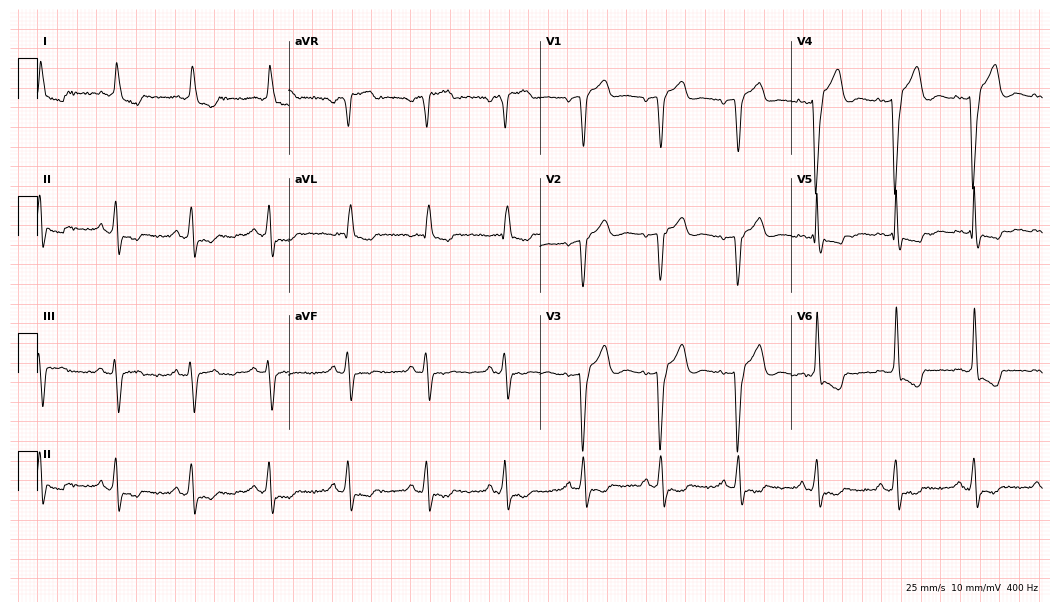
Electrocardiogram, a man, 68 years old. Interpretation includes left bundle branch block (LBBB).